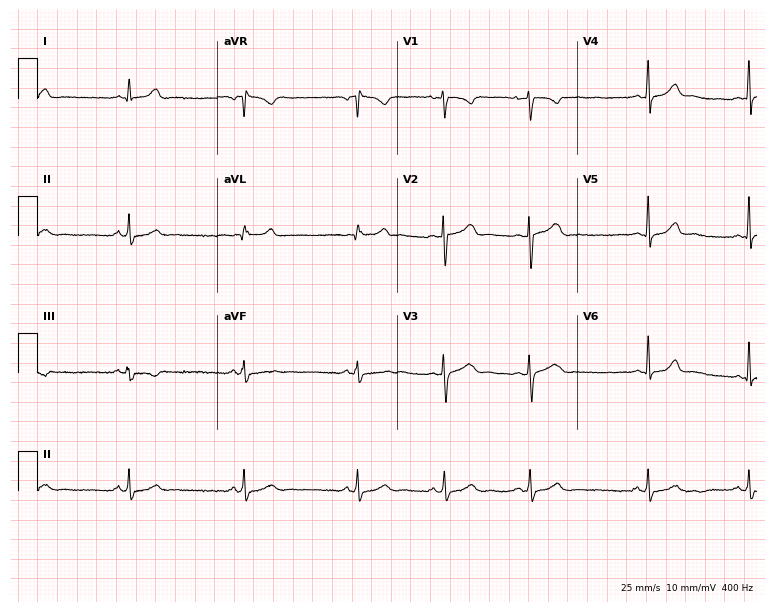
Standard 12-lead ECG recorded from a 21-year-old woman (7.3-second recording at 400 Hz). Read as a normal ECG.